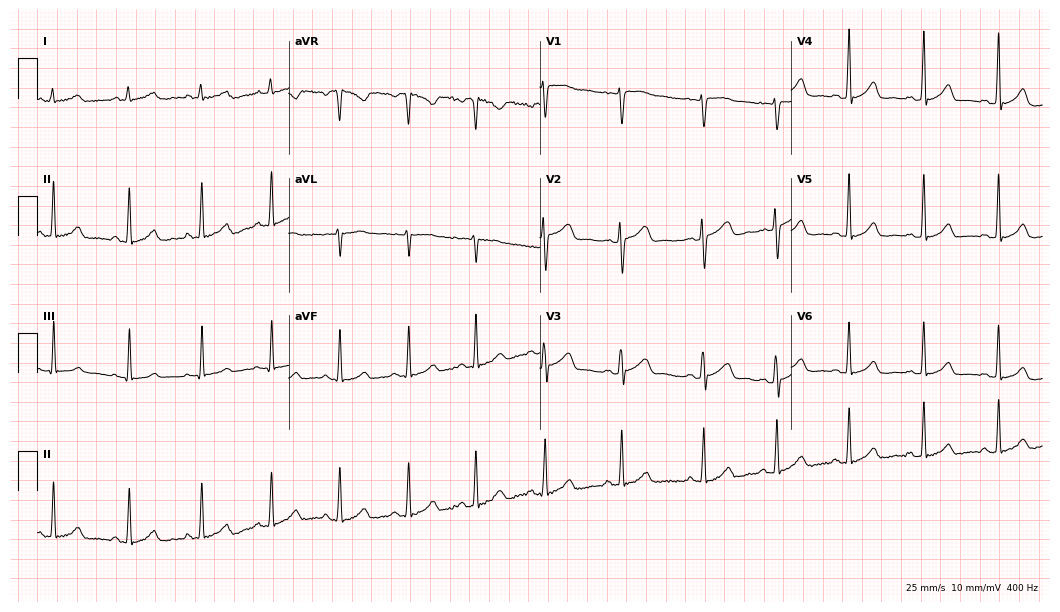
Electrocardiogram, a female, 18 years old. Overall reading on record: normal ECG.